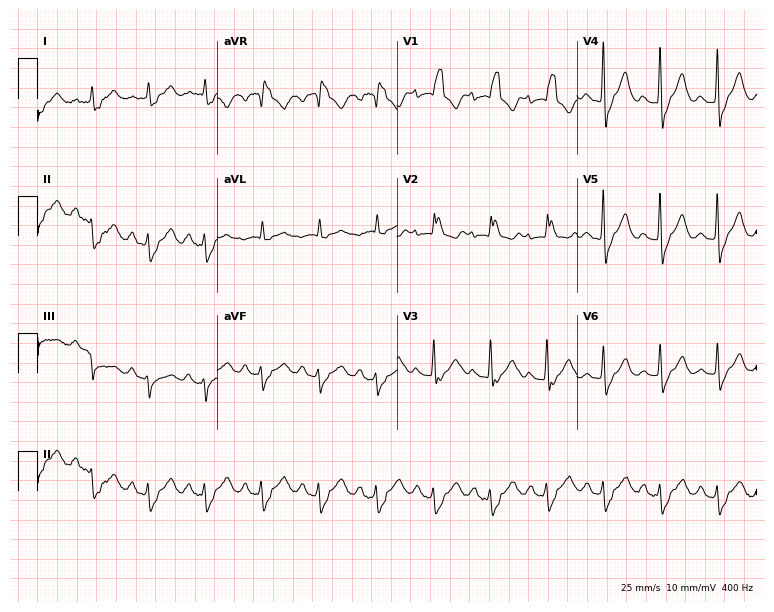
Resting 12-lead electrocardiogram. Patient: a 79-year-old female. The tracing shows right bundle branch block (RBBB), sinus tachycardia (a sinus rate of 100 beats per minute or more).